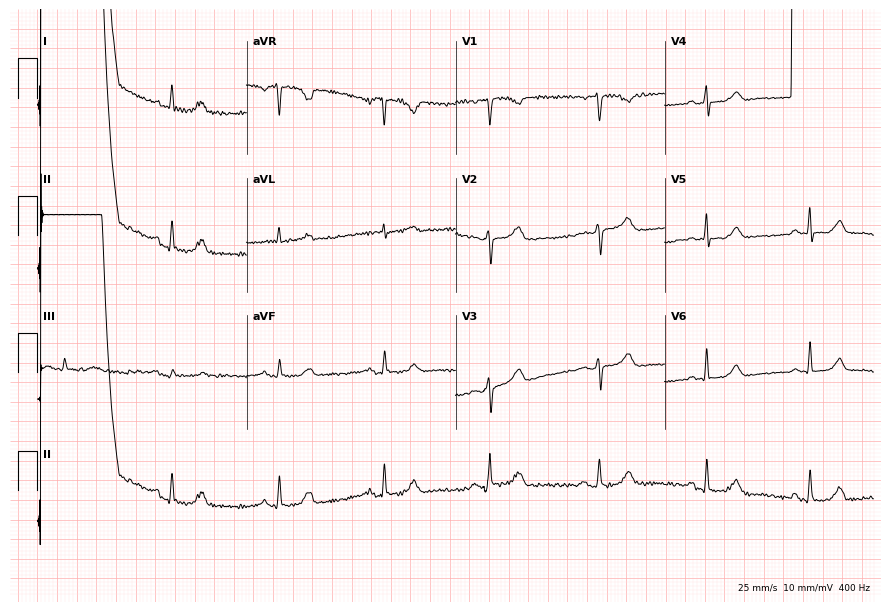
Electrocardiogram, a woman, 73 years old. Of the six screened findings (first-degree AV block, right bundle branch block, left bundle branch block, sinus bradycardia, atrial fibrillation, sinus tachycardia), none is recorded. Only these six findings were labelled.